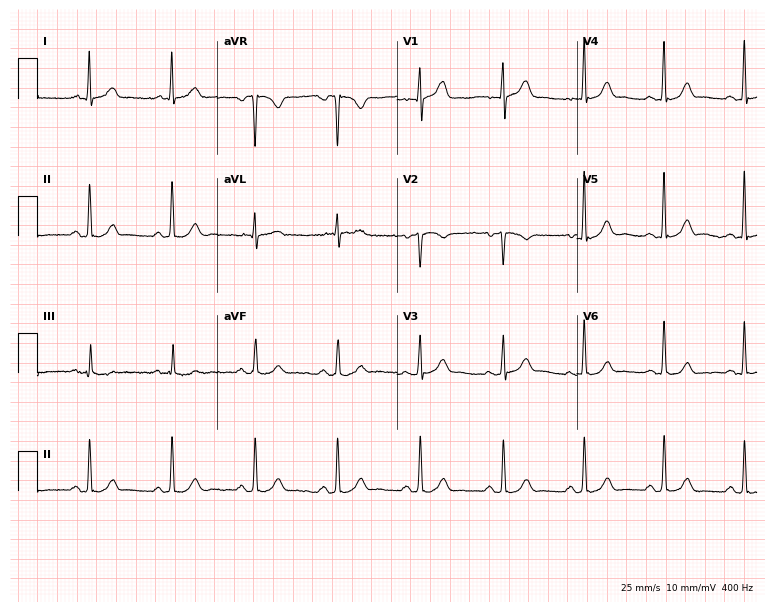
Electrocardiogram (7.3-second recording at 400 Hz), a 59-year-old male. Overall reading on record: normal ECG.